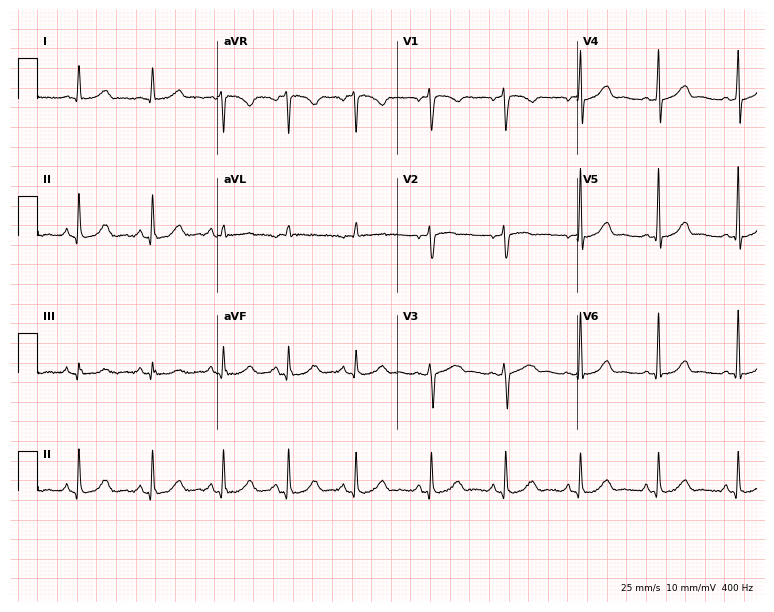
Resting 12-lead electrocardiogram (7.3-second recording at 400 Hz). Patient: a female, 54 years old. Read as a normal ECG.